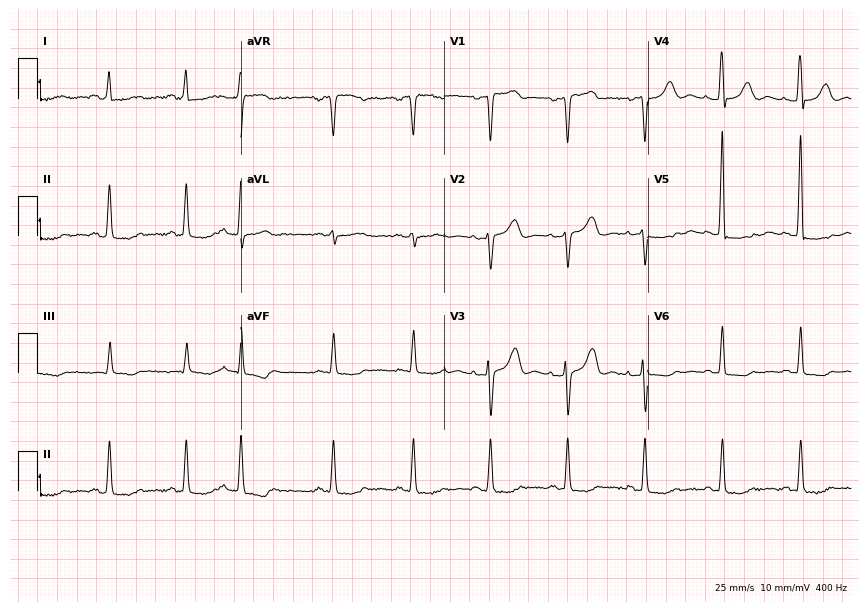
Resting 12-lead electrocardiogram. Patient: a 72-year-old female. None of these six findings is recorded: first-degree AV block, right bundle branch block, left bundle branch block, sinus bradycardia, atrial fibrillation, sinus tachycardia.